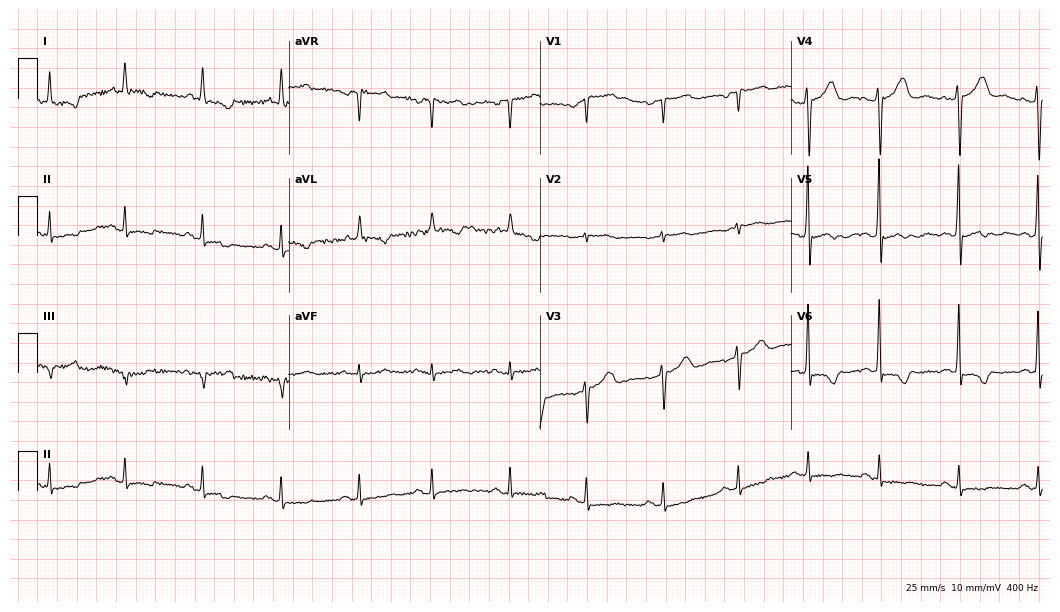
12-lead ECG from a 78-year-old female (10.2-second recording at 400 Hz). No first-degree AV block, right bundle branch block, left bundle branch block, sinus bradycardia, atrial fibrillation or sinus tachycardia recorded for this tracing. Other findings, if any, are not listed.